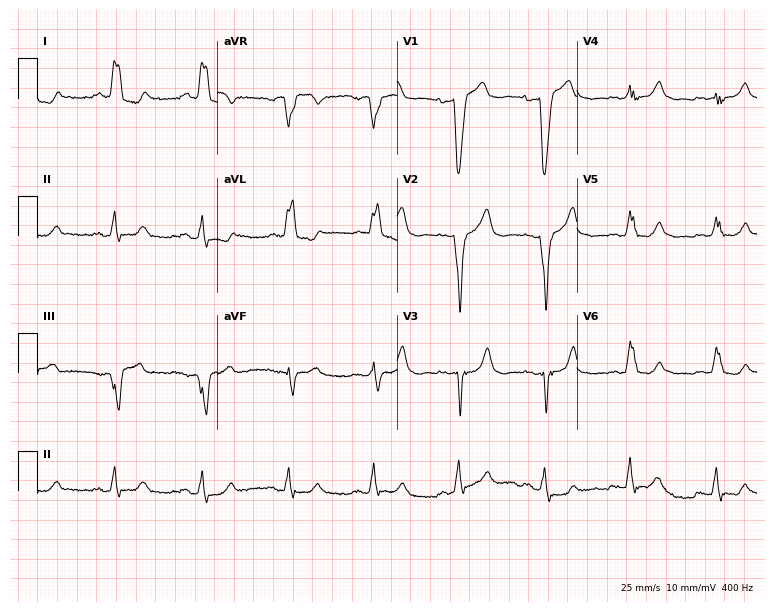
12-lead ECG from a 78-year-old female (7.3-second recording at 400 Hz). No first-degree AV block, right bundle branch block, left bundle branch block, sinus bradycardia, atrial fibrillation or sinus tachycardia recorded for this tracing. Findings outside these six are not listed.